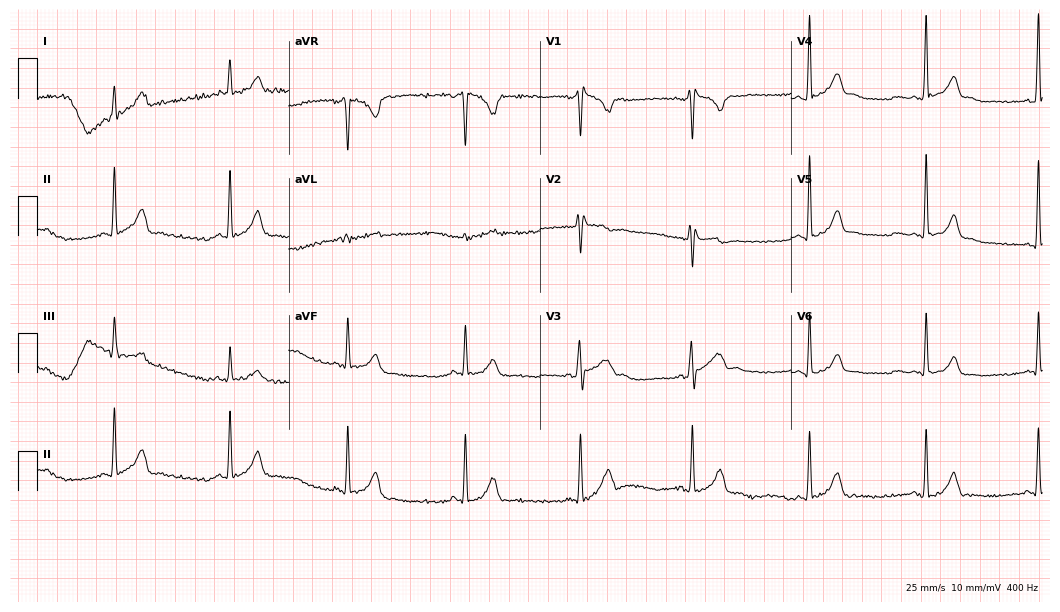
Electrocardiogram, a 35-year-old male. Interpretation includes sinus bradycardia (a sinus rate of 50 beats per minute or less).